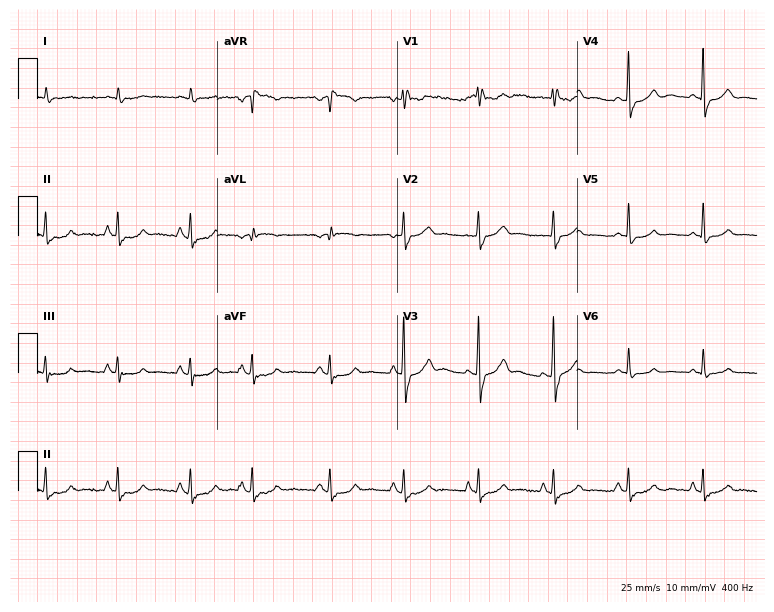
Electrocardiogram, a female, 83 years old. Of the six screened findings (first-degree AV block, right bundle branch block, left bundle branch block, sinus bradycardia, atrial fibrillation, sinus tachycardia), none is recorded.